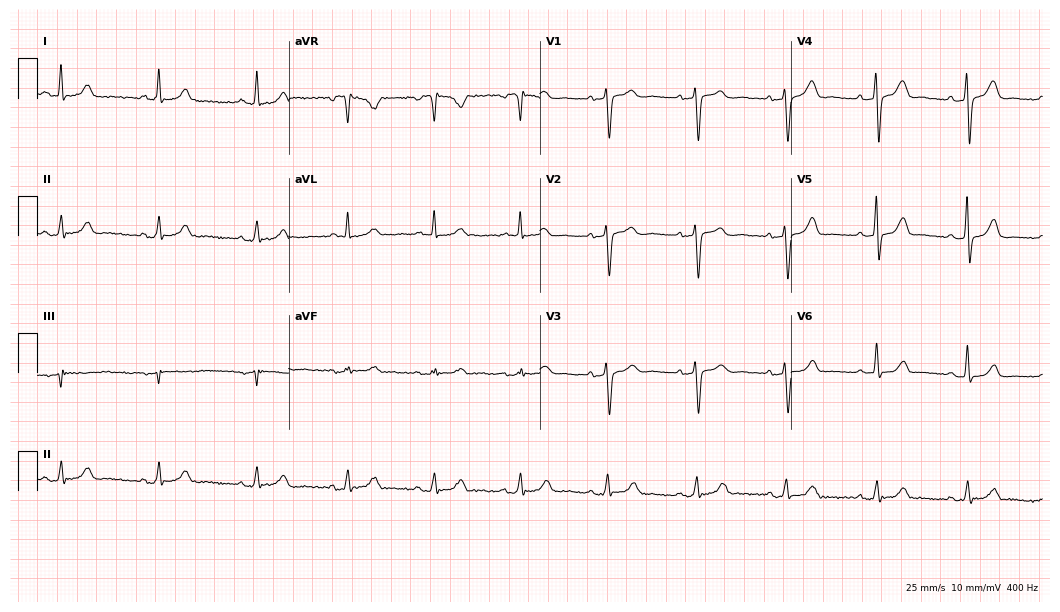
ECG — a female patient, 74 years old. Labelled as a normal ECG.